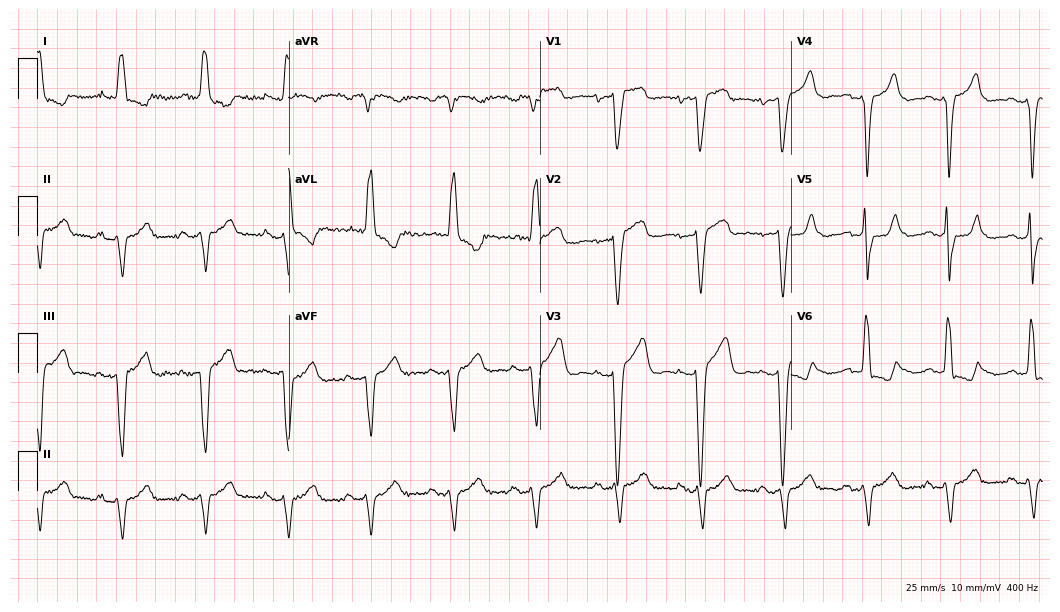
ECG — an 81-year-old female. Screened for six findings — first-degree AV block, right bundle branch block, left bundle branch block, sinus bradycardia, atrial fibrillation, sinus tachycardia — none is recorded. Only these six findings were labelled.